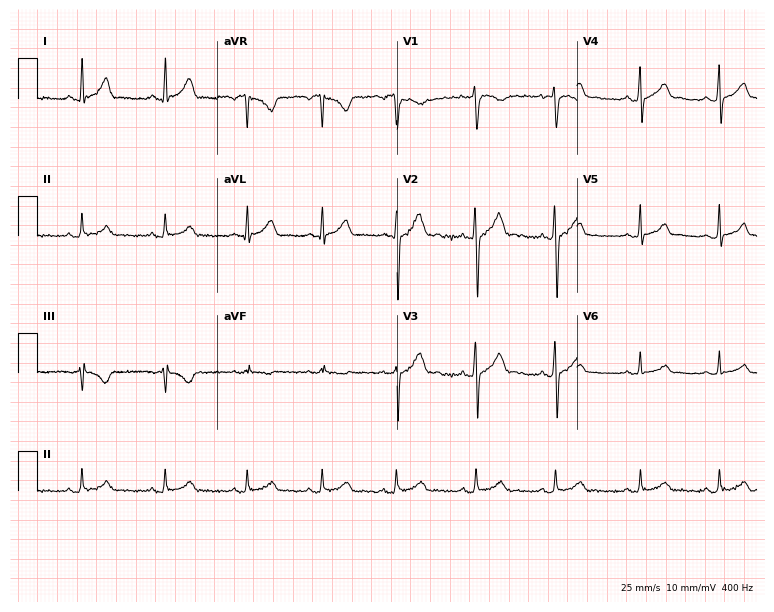
Resting 12-lead electrocardiogram. Patient: a 21-year-old male. None of these six findings is recorded: first-degree AV block, right bundle branch block, left bundle branch block, sinus bradycardia, atrial fibrillation, sinus tachycardia. Other findings, if any, are not listed.